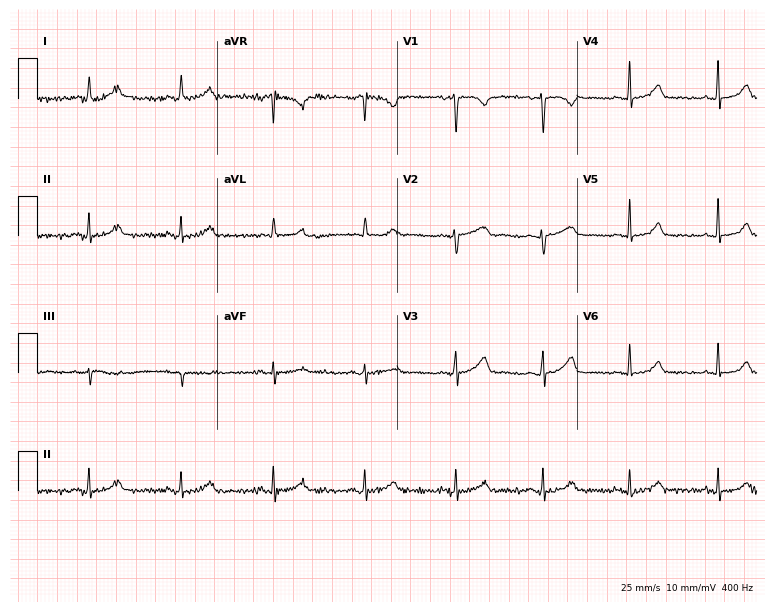
Electrocardiogram (7.3-second recording at 400 Hz), a woman, 47 years old. Overall reading on record: normal ECG.